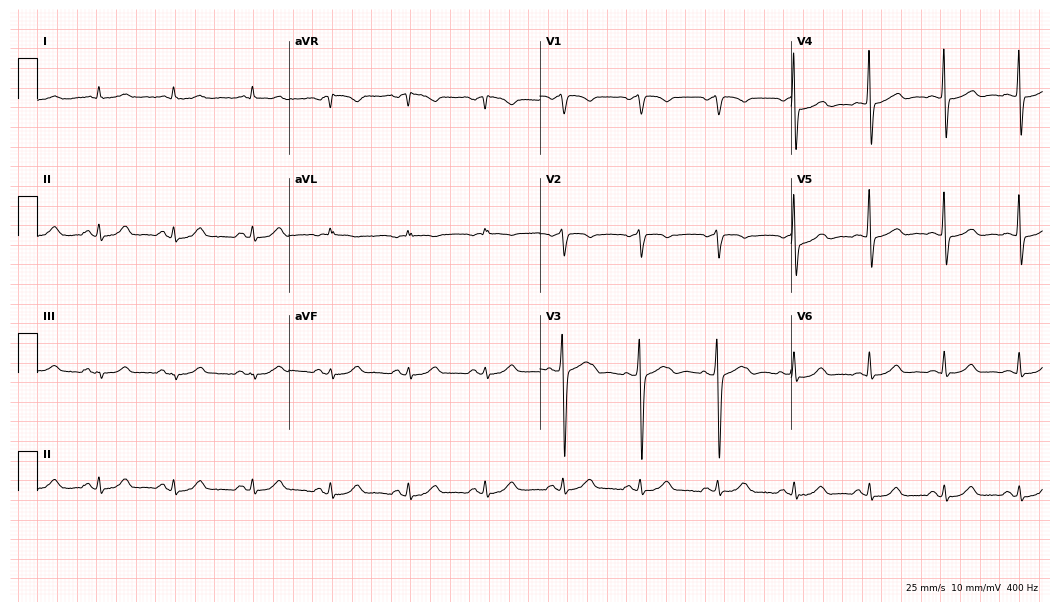
Electrocardiogram (10.2-second recording at 400 Hz), a man, 63 years old. Overall reading on record: normal ECG.